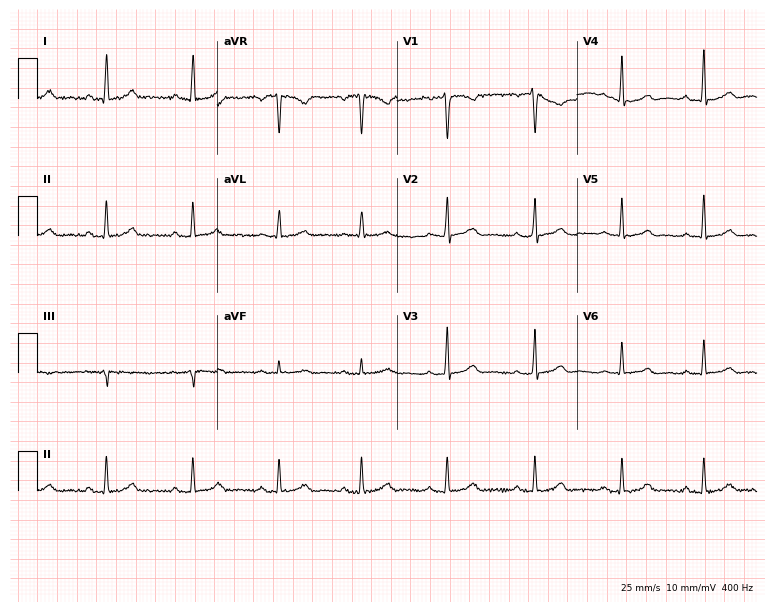
ECG (7.3-second recording at 400 Hz) — a female, 34 years old. Screened for six findings — first-degree AV block, right bundle branch block (RBBB), left bundle branch block (LBBB), sinus bradycardia, atrial fibrillation (AF), sinus tachycardia — none is recorded. Other findings, if any, are not listed.